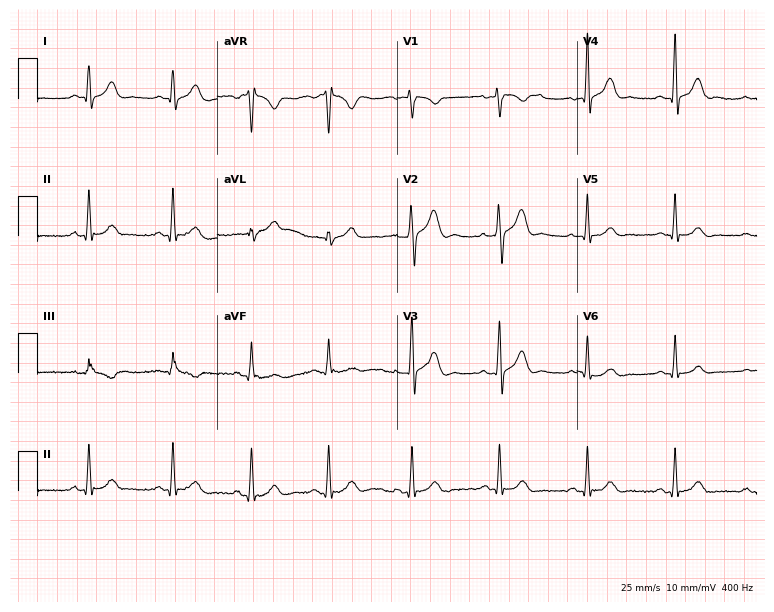
Standard 12-lead ECG recorded from a woman, 35 years old (7.3-second recording at 400 Hz). Read as a normal ECG.